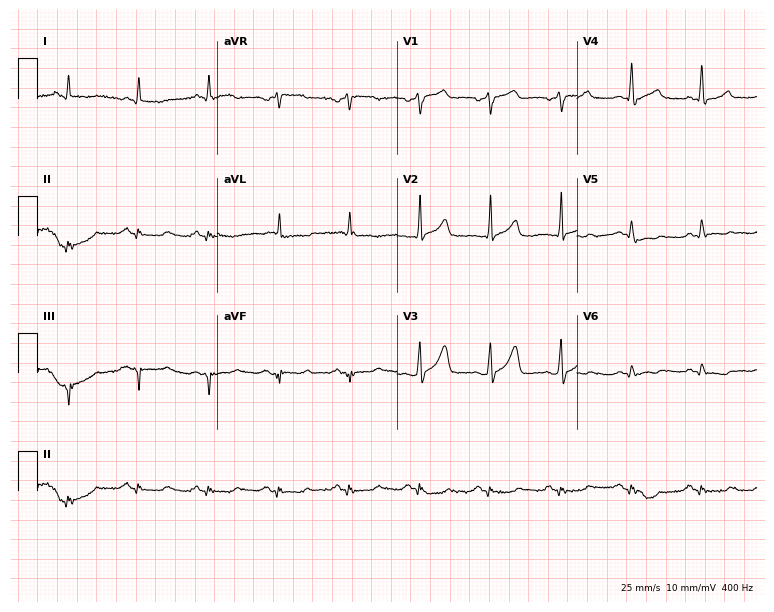
12-lead ECG from a male, 69 years old. No first-degree AV block, right bundle branch block, left bundle branch block, sinus bradycardia, atrial fibrillation or sinus tachycardia recorded for this tracing. Other findings, if any, are not listed.